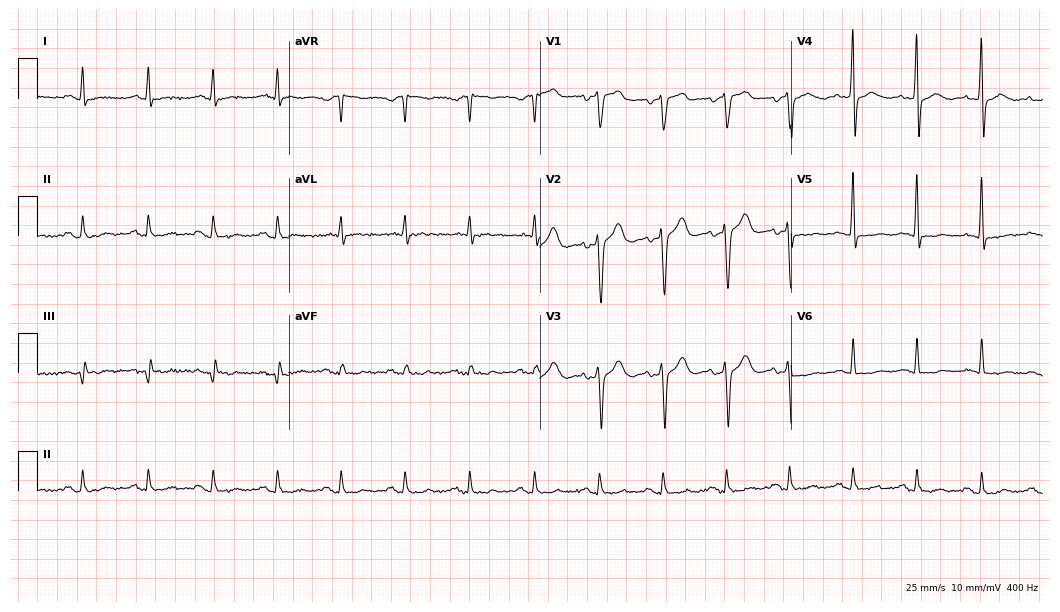
Standard 12-lead ECG recorded from a 59-year-old female patient (10.2-second recording at 400 Hz). None of these six findings is recorded: first-degree AV block, right bundle branch block, left bundle branch block, sinus bradycardia, atrial fibrillation, sinus tachycardia.